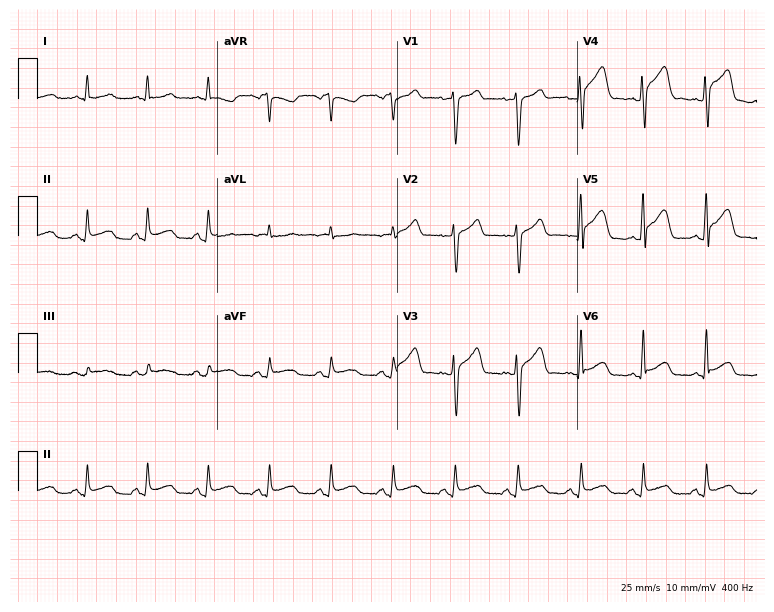
Standard 12-lead ECG recorded from a male, 46 years old. None of these six findings is recorded: first-degree AV block, right bundle branch block (RBBB), left bundle branch block (LBBB), sinus bradycardia, atrial fibrillation (AF), sinus tachycardia.